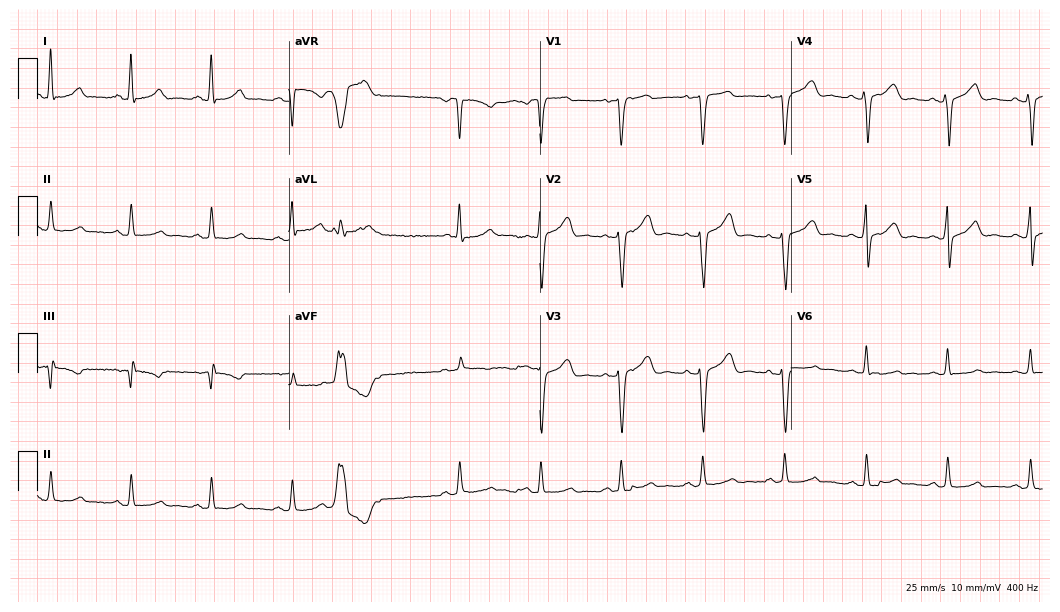
Standard 12-lead ECG recorded from a female patient, 51 years old (10.2-second recording at 400 Hz). Read as a normal ECG.